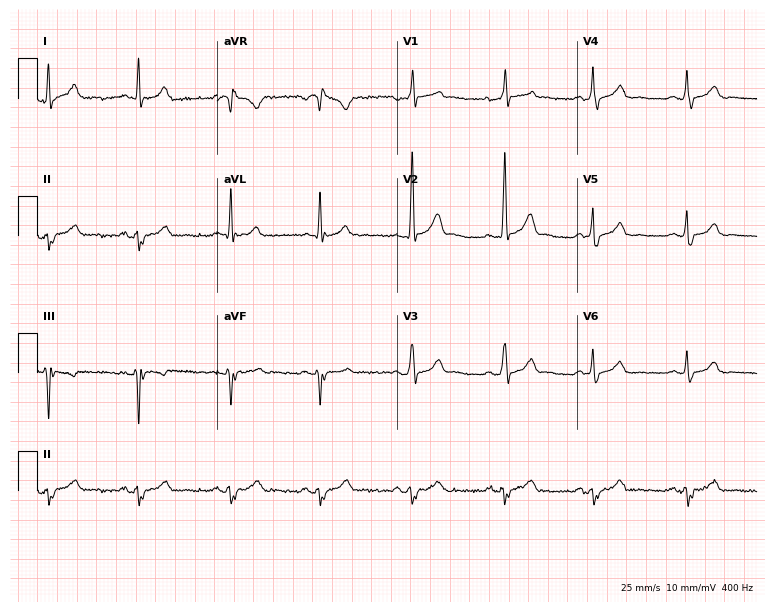
Electrocardiogram, a 44-year-old man. Of the six screened findings (first-degree AV block, right bundle branch block (RBBB), left bundle branch block (LBBB), sinus bradycardia, atrial fibrillation (AF), sinus tachycardia), none is recorded. Findings outside these six are not listed.